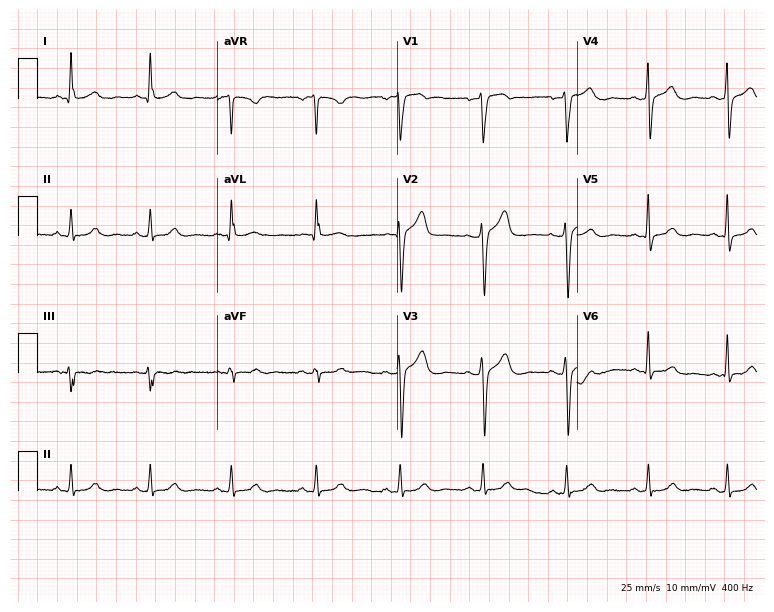
Resting 12-lead electrocardiogram. Patient: a man, 54 years old. Read as a normal ECG.